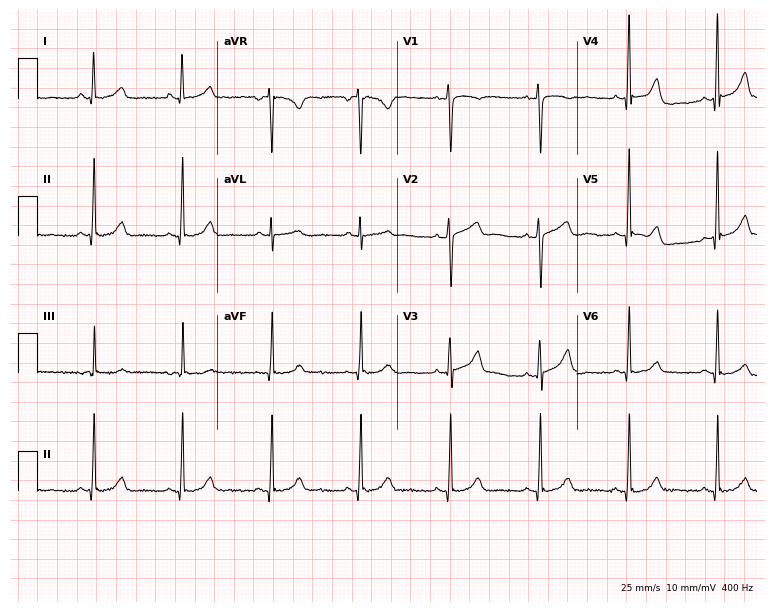
Electrocardiogram, a woman, 51 years old. Of the six screened findings (first-degree AV block, right bundle branch block (RBBB), left bundle branch block (LBBB), sinus bradycardia, atrial fibrillation (AF), sinus tachycardia), none is recorded.